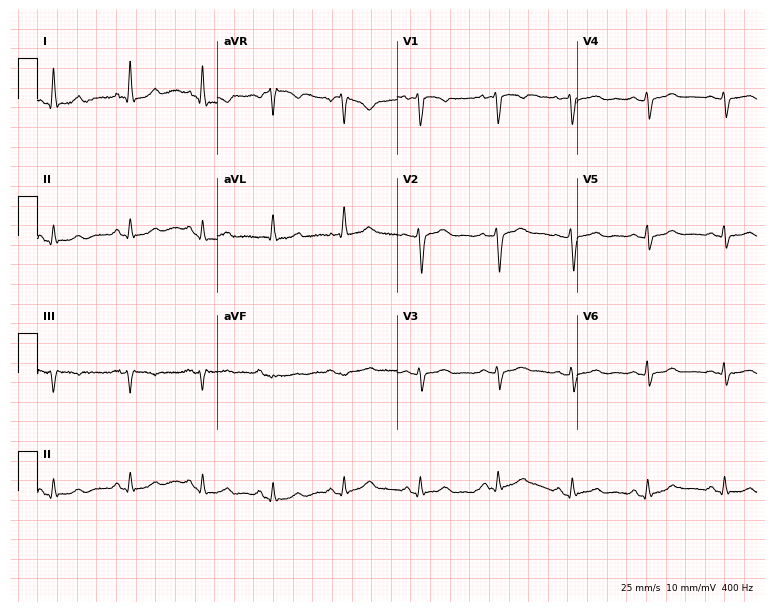
12-lead ECG from a female patient, 42 years old. Labelled as a normal ECG.